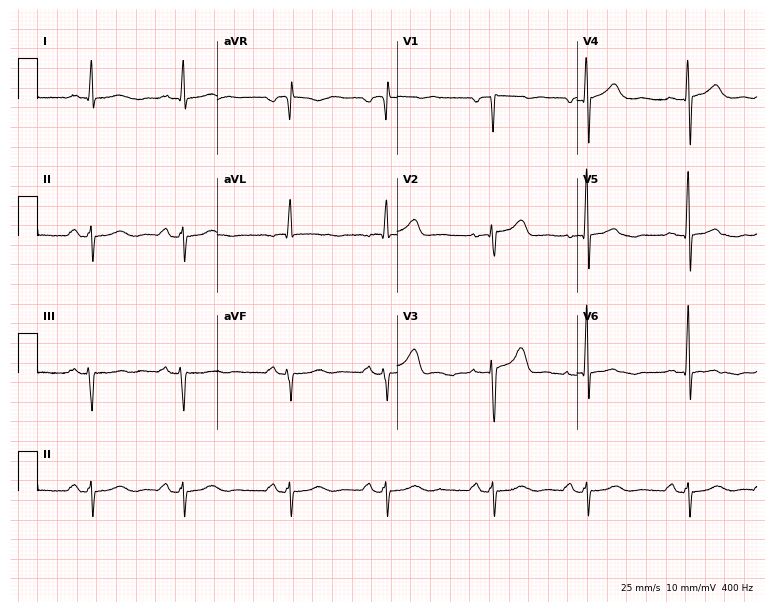
12-lead ECG from a 64-year-old male patient. No first-degree AV block, right bundle branch block, left bundle branch block, sinus bradycardia, atrial fibrillation or sinus tachycardia recorded for this tracing.